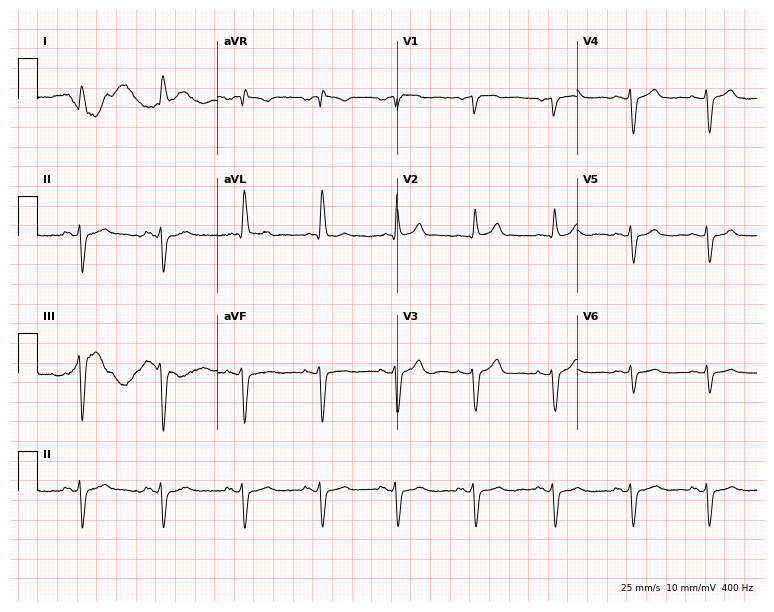
Resting 12-lead electrocardiogram (7.3-second recording at 400 Hz). Patient: a 56-year-old woman. None of these six findings is recorded: first-degree AV block, right bundle branch block, left bundle branch block, sinus bradycardia, atrial fibrillation, sinus tachycardia. Only these six findings were labelled.